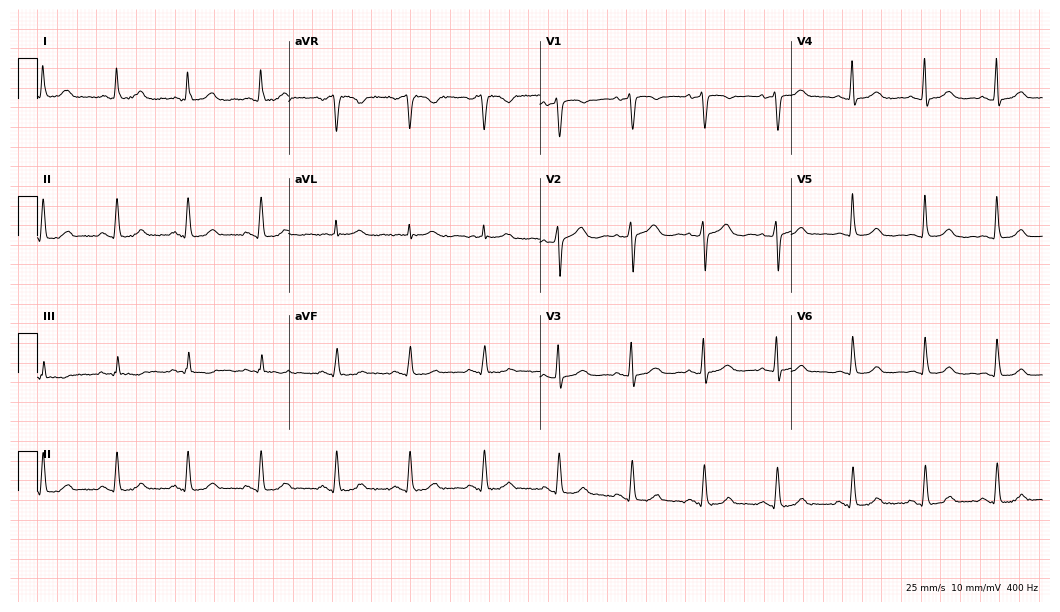
ECG — a female patient, 54 years old. Screened for six findings — first-degree AV block, right bundle branch block (RBBB), left bundle branch block (LBBB), sinus bradycardia, atrial fibrillation (AF), sinus tachycardia — none is recorded.